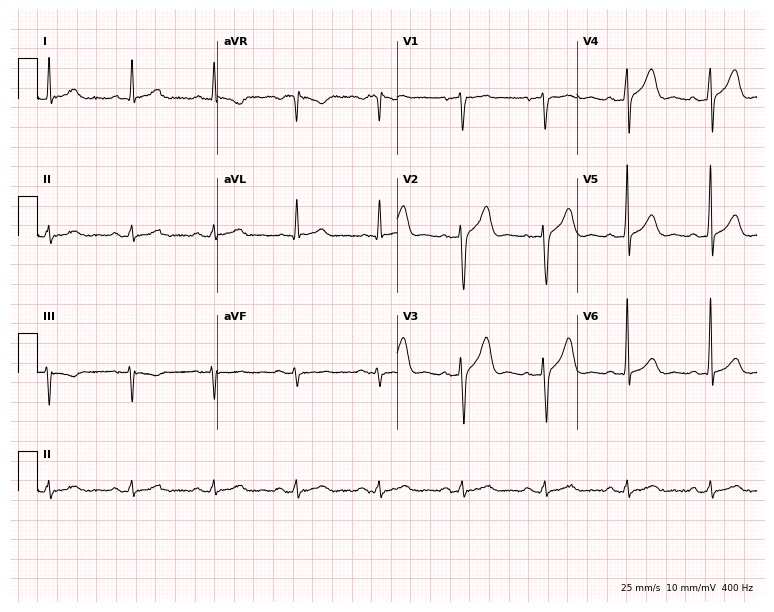
Standard 12-lead ECG recorded from a man, 56 years old. Read as a normal ECG.